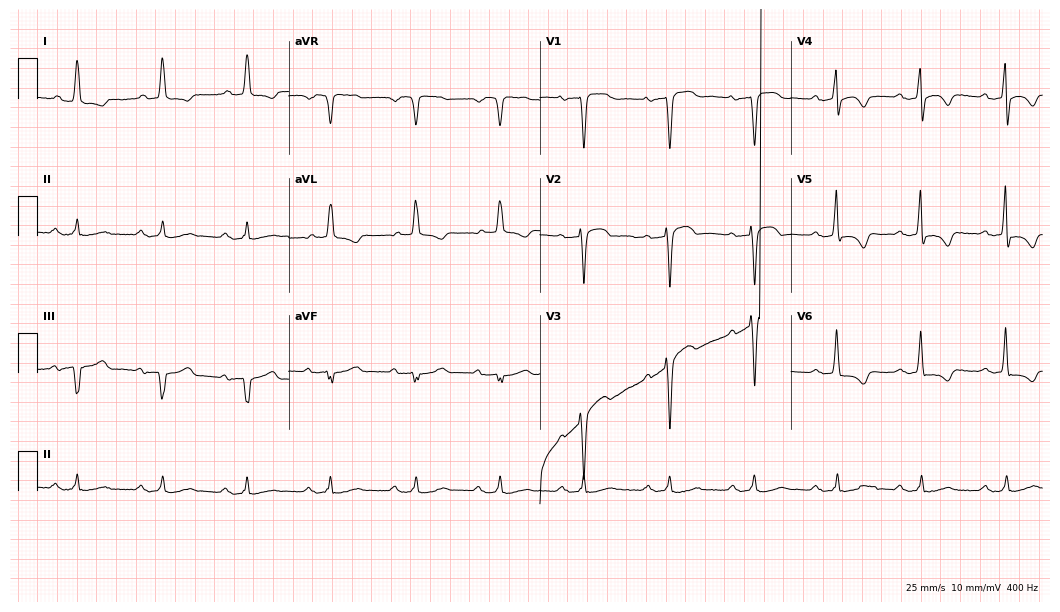
12-lead ECG from a 68-year-old man. Screened for six findings — first-degree AV block, right bundle branch block (RBBB), left bundle branch block (LBBB), sinus bradycardia, atrial fibrillation (AF), sinus tachycardia — none is recorded.